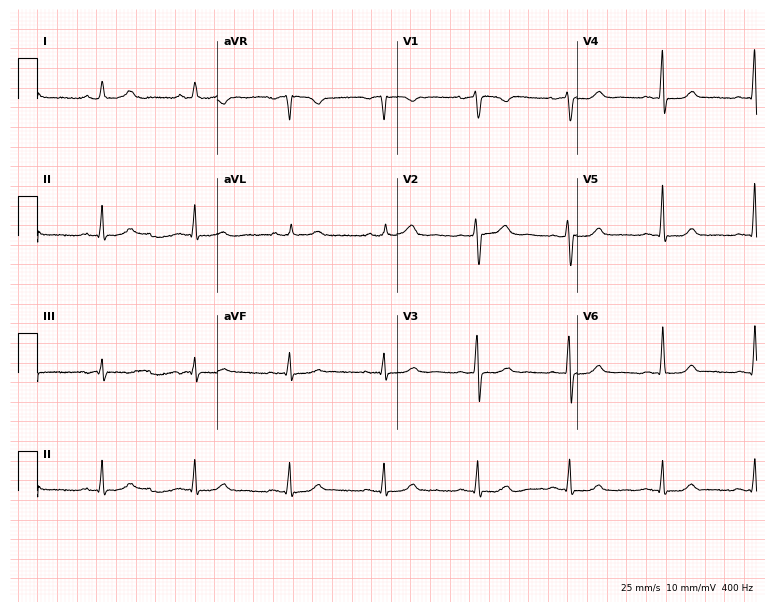
Resting 12-lead electrocardiogram. Patient: a 47-year-old woman. Read as a normal ECG.